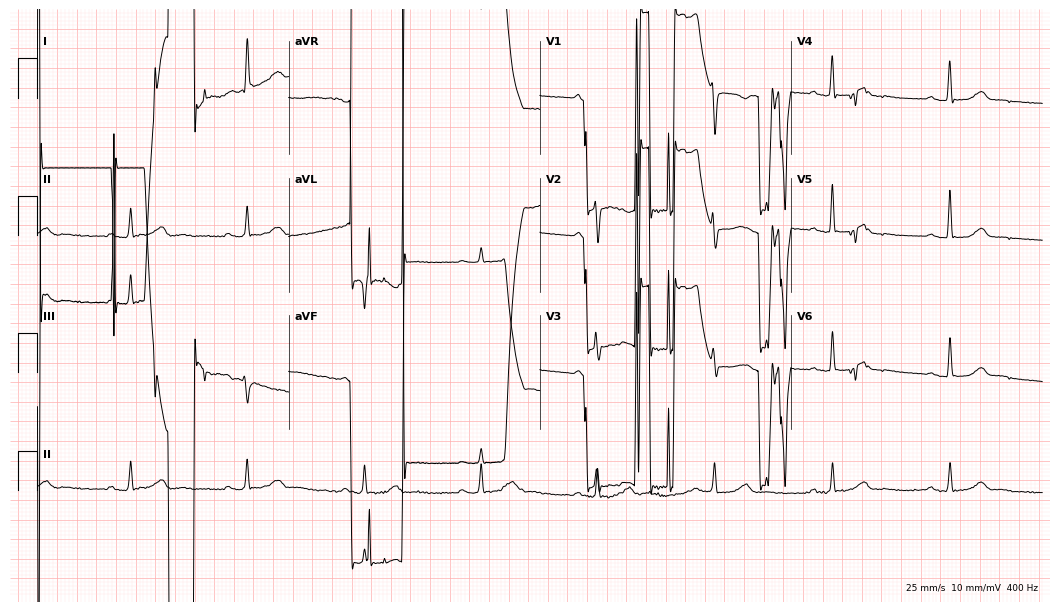
Electrocardiogram (10.2-second recording at 400 Hz), a female patient, 69 years old. Of the six screened findings (first-degree AV block, right bundle branch block (RBBB), left bundle branch block (LBBB), sinus bradycardia, atrial fibrillation (AF), sinus tachycardia), none is recorded. Findings outside these six are not listed.